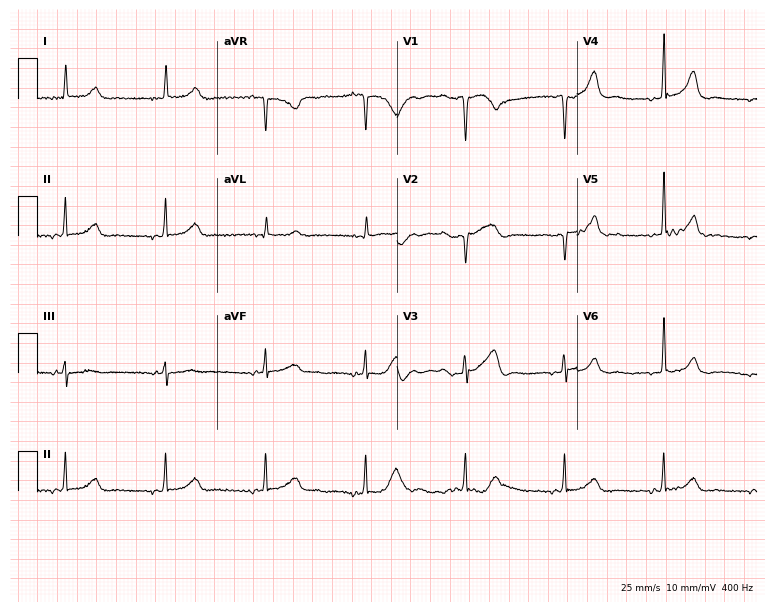
Standard 12-lead ECG recorded from a 70-year-old female. None of these six findings is recorded: first-degree AV block, right bundle branch block (RBBB), left bundle branch block (LBBB), sinus bradycardia, atrial fibrillation (AF), sinus tachycardia. Only these six findings were labelled.